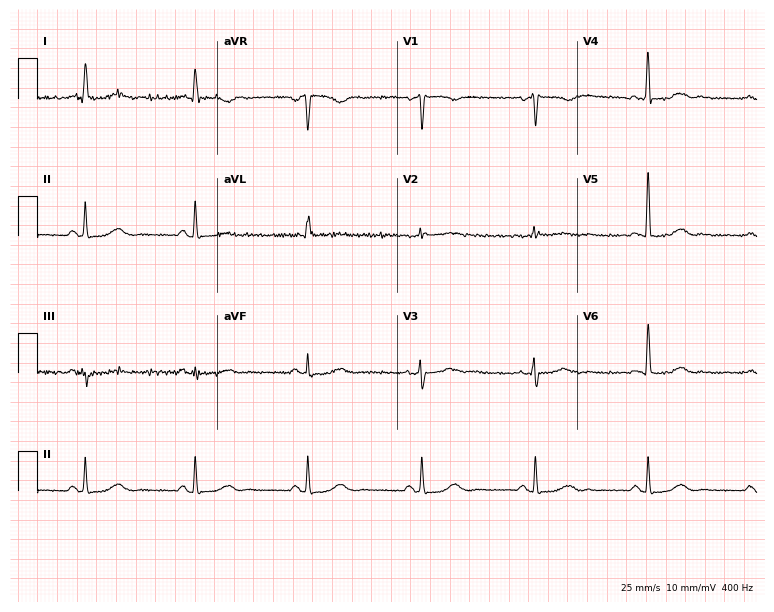
Resting 12-lead electrocardiogram. Patient: a 67-year-old female. None of these six findings is recorded: first-degree AV block, right bundle branch block, left bundle branch block, sinus bradycardia, atrial fibrillation, sinus tachycardia.